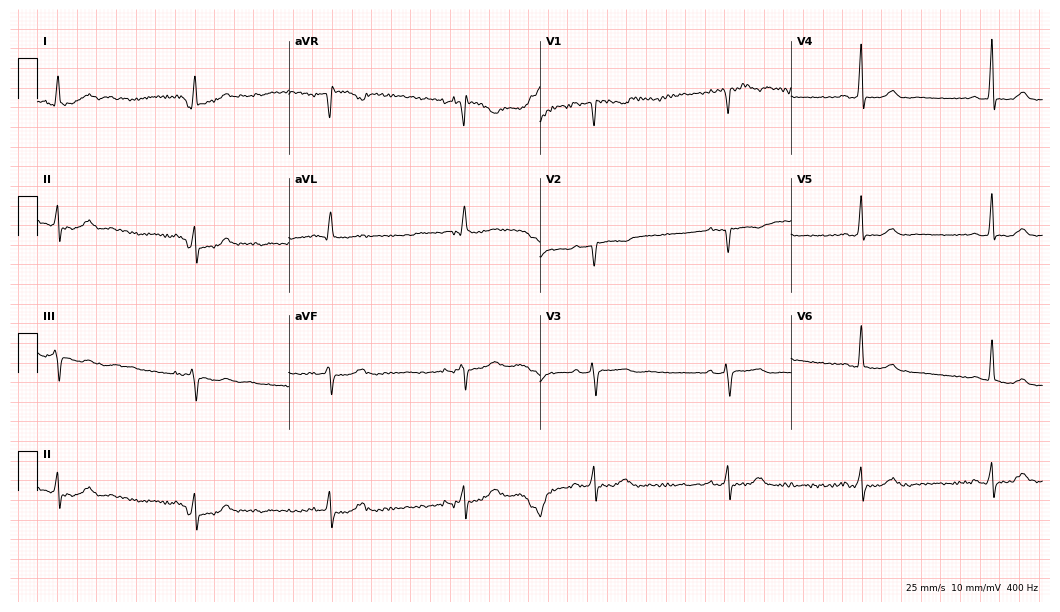
12-lead ECG from a woman, 61 years old (10.2-second recording at 400 Hz). No first-degree AV block, right bundle branch block, left bundle branch block, sinus bradycardia, atrial fibrillation or sinus tachycardia recorded for this tracing. Other findings, if any, are not listed.